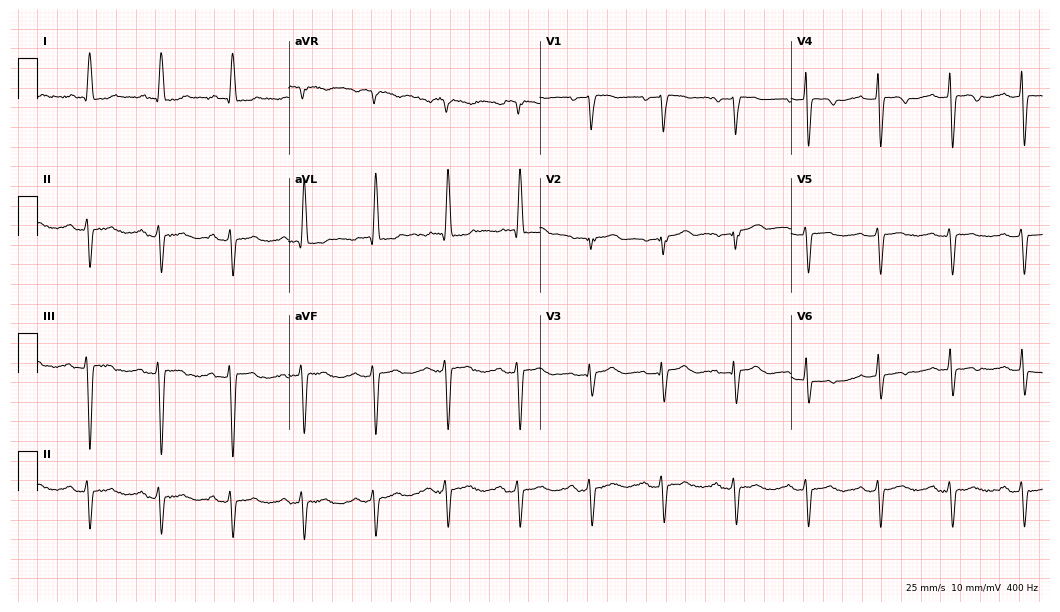
Electrocardiogram, a 62-year-old female patient. Of the six screened findings (first-degree AV block, right bundle branch block, left bundle branch block, sinus bradycardia, atrial fibrillation, sinus tachycardia), none is recorded. Findings outside these six are not listed.